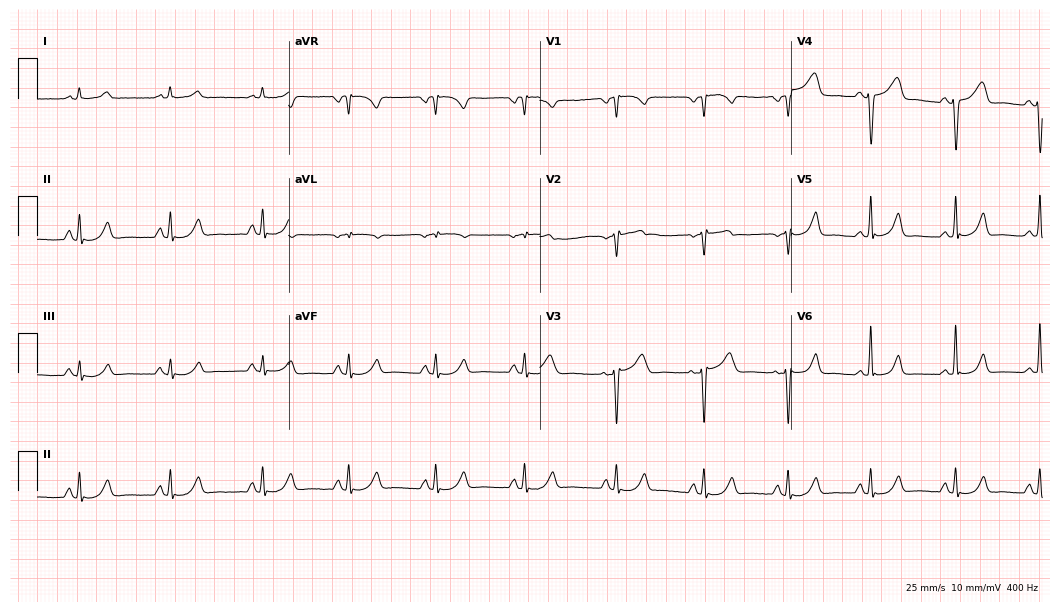
Electrocardiogram (10.2-second recording at 400 Hz), a 54-year-old female. Of the six screened findings (first-degree AV block, right bundle branch block, left bundle branch block, sinus bradycardia, atrial fibrillation, sinus tachycardia), none is recorded. Only these six findings were labelled.